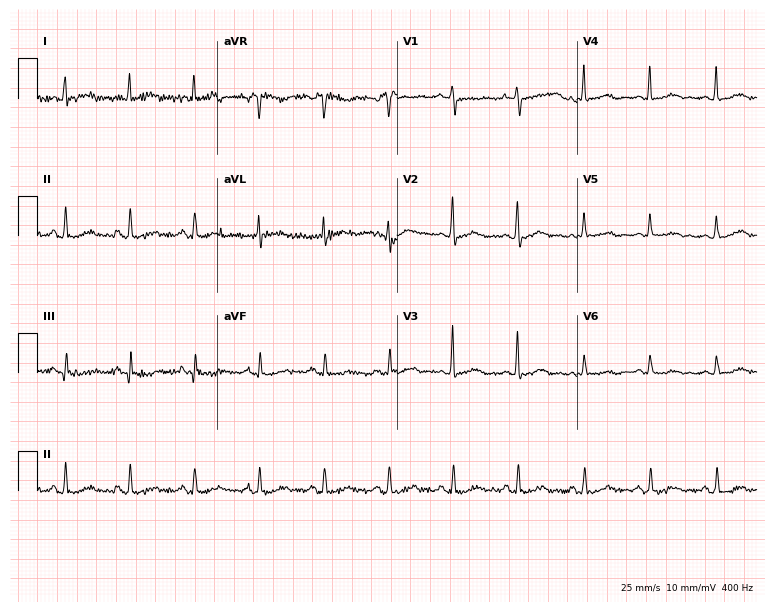
Standard 12-lead ECG recorded from a female, 82 years old (7.3-second recording at 400 Hz). None of these six findings is recorded: first-degree AV block, right bundle branch block, left bundle branch block, sinus bradycardia, atrial fibrillation, sinus tachycardia.